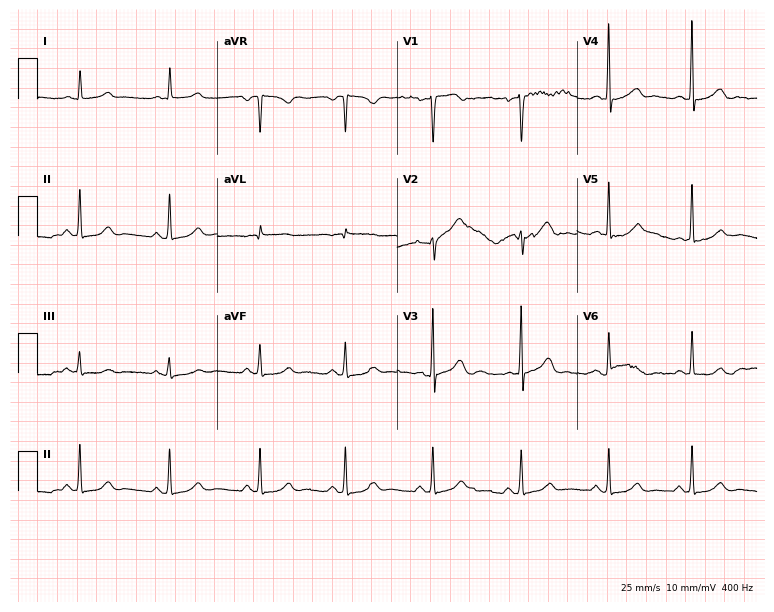
12-lead ECG from a 48-year-old female. Screened for six findings — first-degree AV block, right bundle branch block, left bundle branch block, sinus bradycardia, atrial fibrillation, sinus tachycardia — none is recorded. Findings outside these six are not listed.